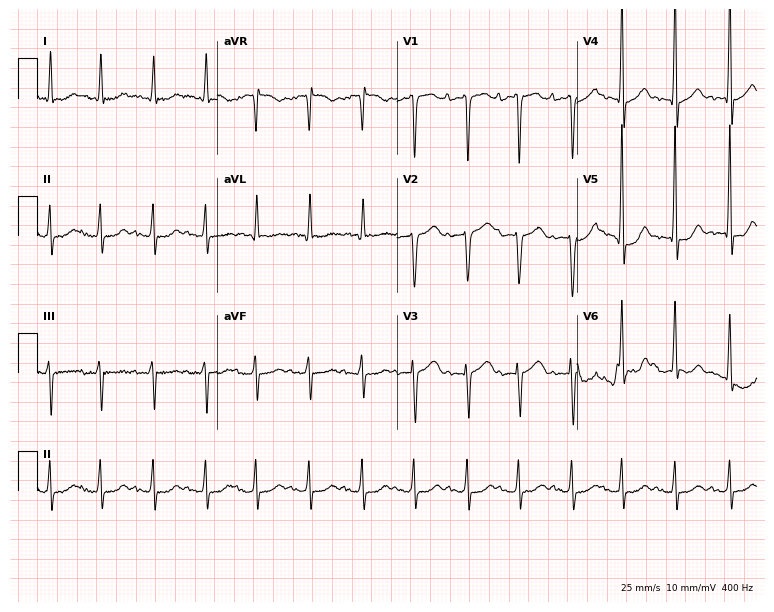
12-lead ECG from a woman, 78 years old. Screened for six findings — first-degree AV block, right bundle branch block, left bundle branch block, sinus bradycardia, atrial fibrillation, sinus tachycardia — none is recorded. Other findings, if any, are not listed.